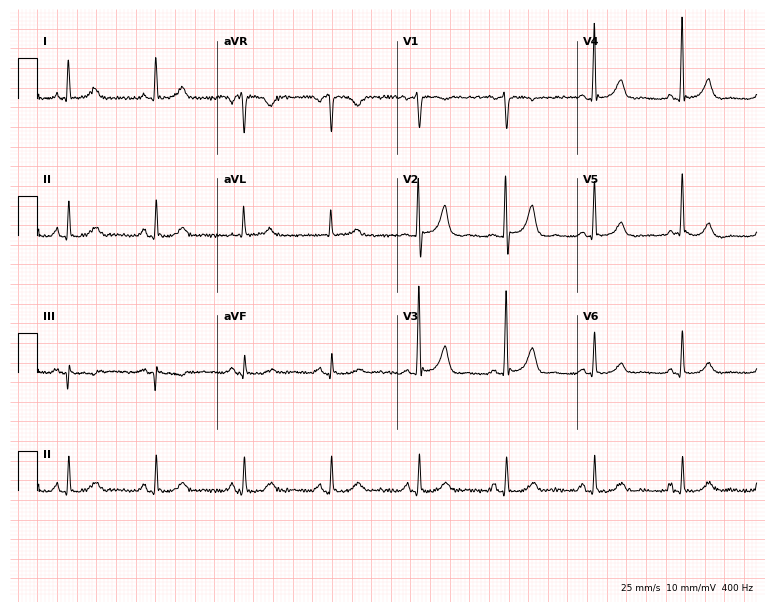
Standard 12-lead ECG recorded from an 84-year-old female patient. Read as a normal ECG.